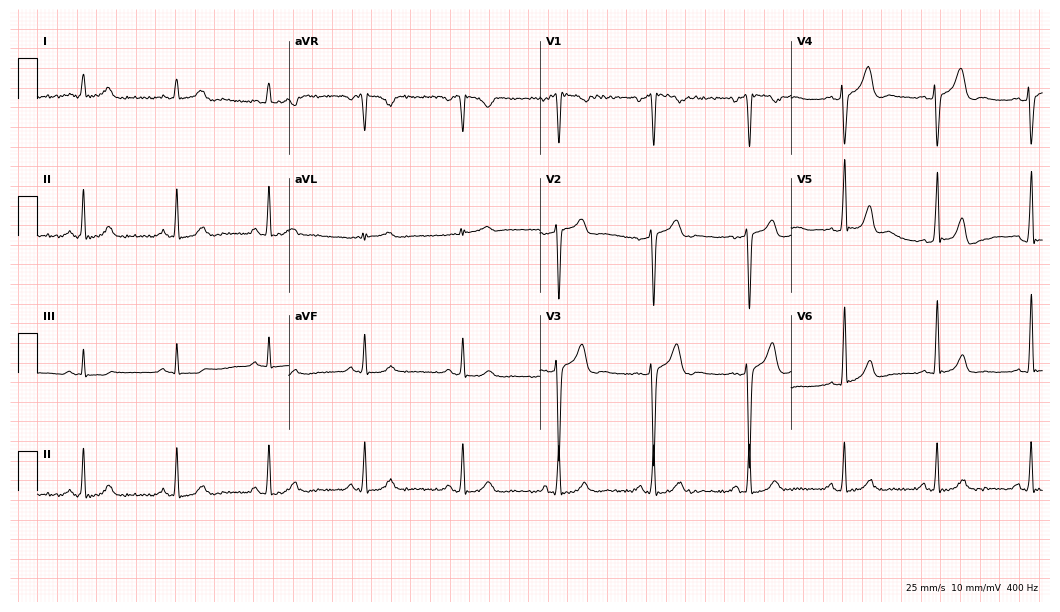
12-lead ECG from a 35-year-old male. Recorded interpretation: within normal limits.